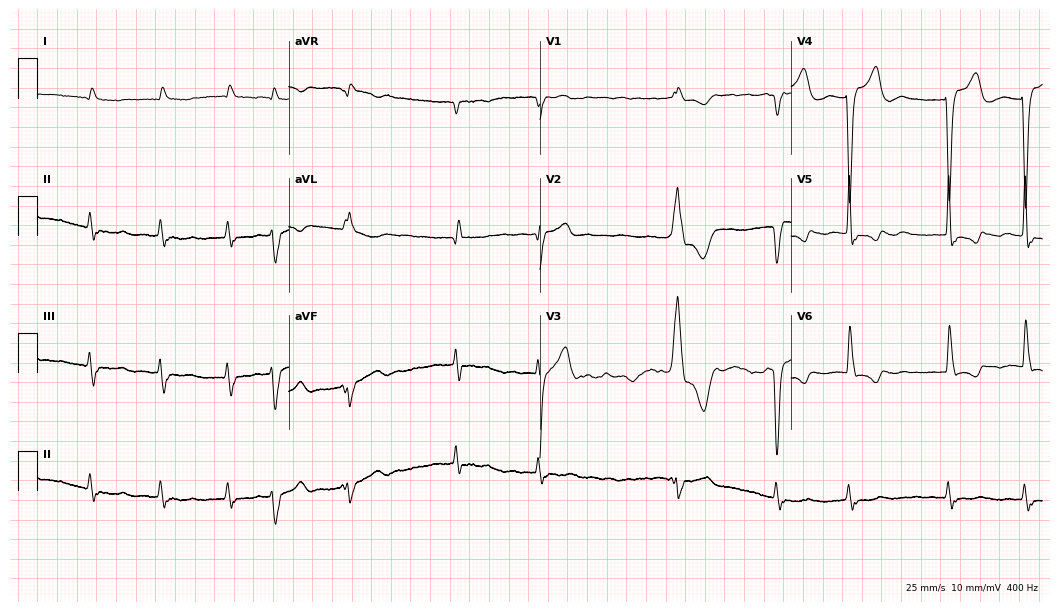
Electrocardiogram, a 62-year-old woman. Interpretation includes atrial fibrillation (AF).